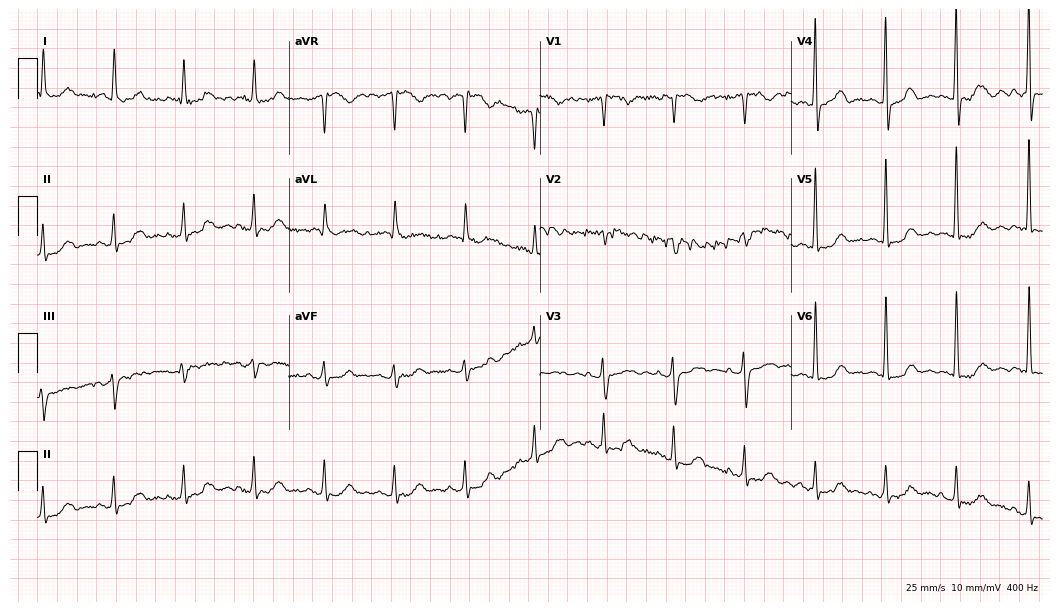
Standard 12-lead ECG recorded from a female patient, 72 years old. None of these six findings is recorded: first-degree AV block, right bundle branch block, left bundle branch block, sinus bradycardia, atrial fibrillation, sinus tachycardia. Only these six findings were labelled.